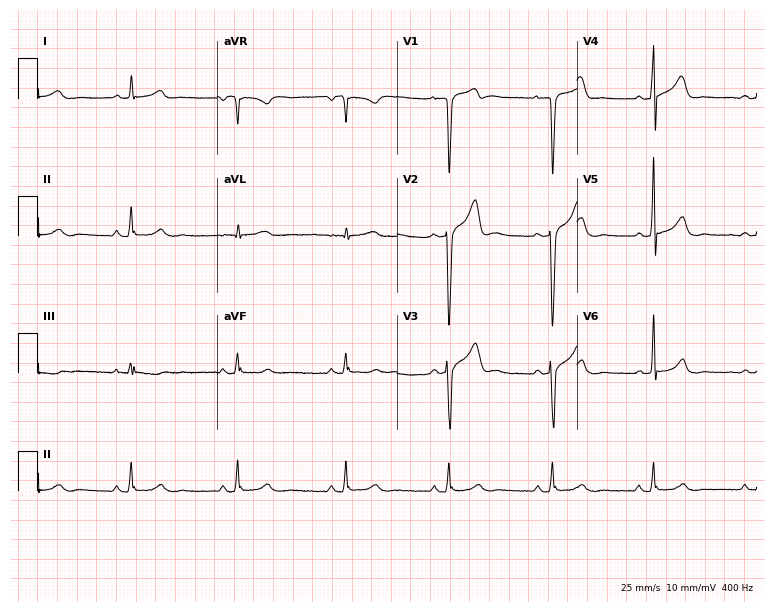
12-lead ECG from a man, 38 years old. Recorded interpretation: within normal limits.